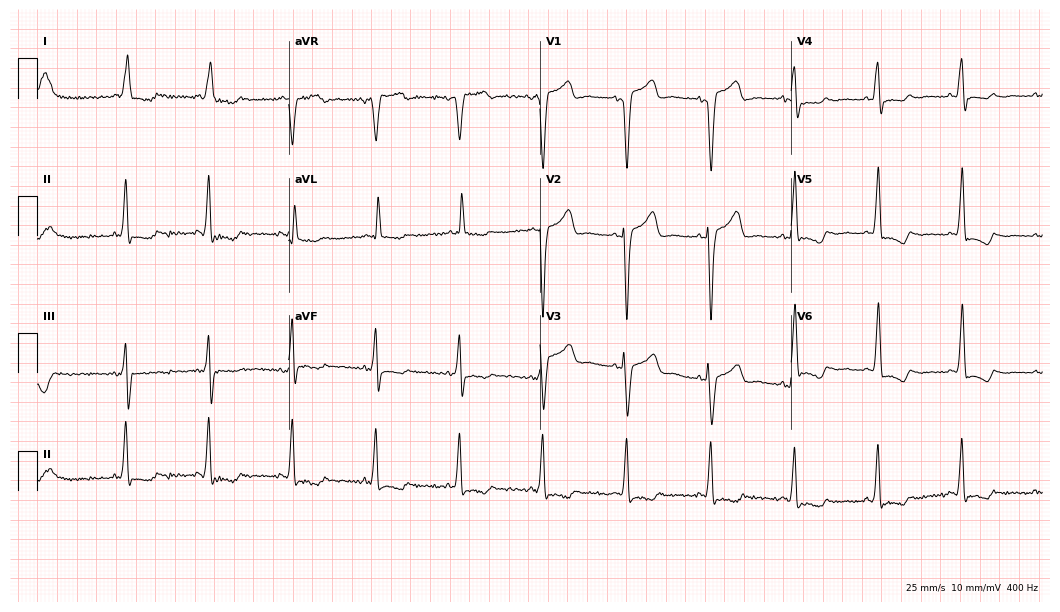
Resting 12-lead electrocardiogram (10.2-second recording at 400 Hz). Patient: a woman, 74 years old. None of these six findings is recorded: first-degree AV block, right bundle branch block (RBBB), left bundle branch block (LBBB), sinus bradycardia, atrial fibrillation (AF), sinus tachycardia.